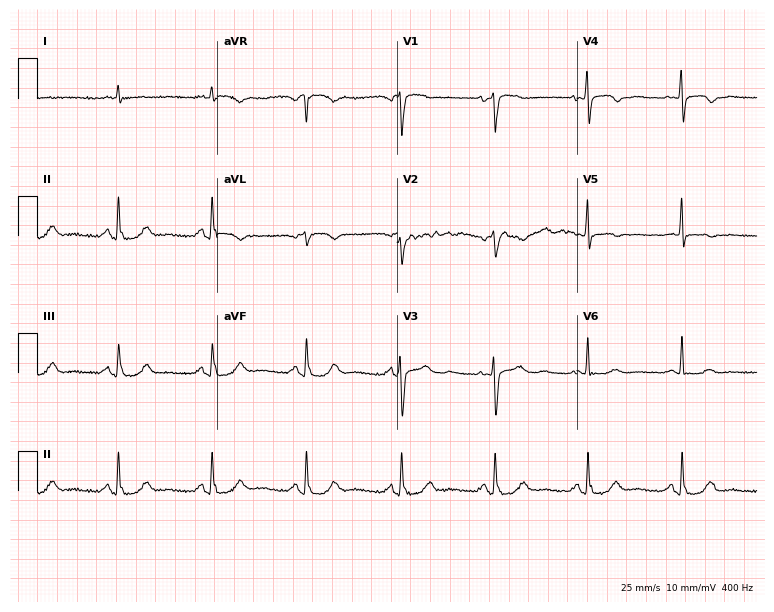
Electrocardiogram (7.3-second recording at 400 Hz), a 75-year-old man. Of the six screened findings (first-degree AV block, right bundle branch block (RBBB), left bundle branch block (LBBB), sinus bradycardia, atrial fibrillation (AF), sinus tachycardia), none is recorded.